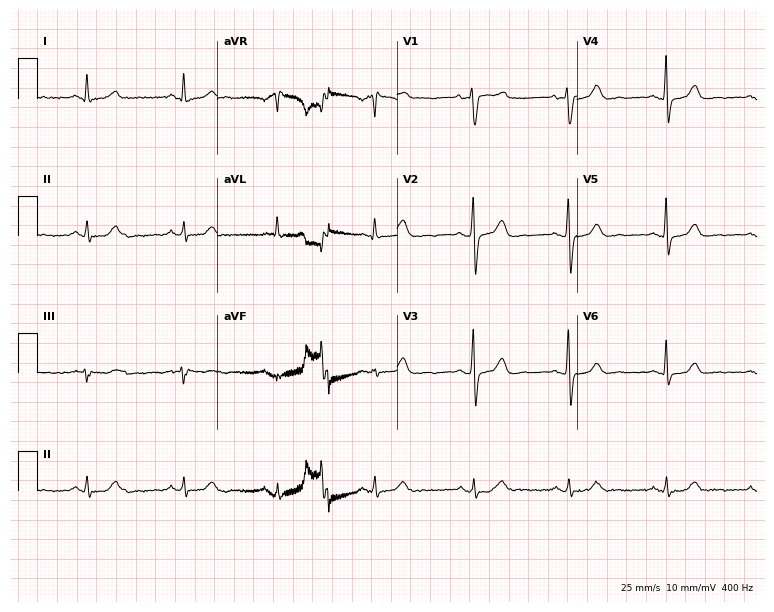
Resting 12-lead electrocardiogram. Patient: a female, 54 years old. Read as a normal ECG.